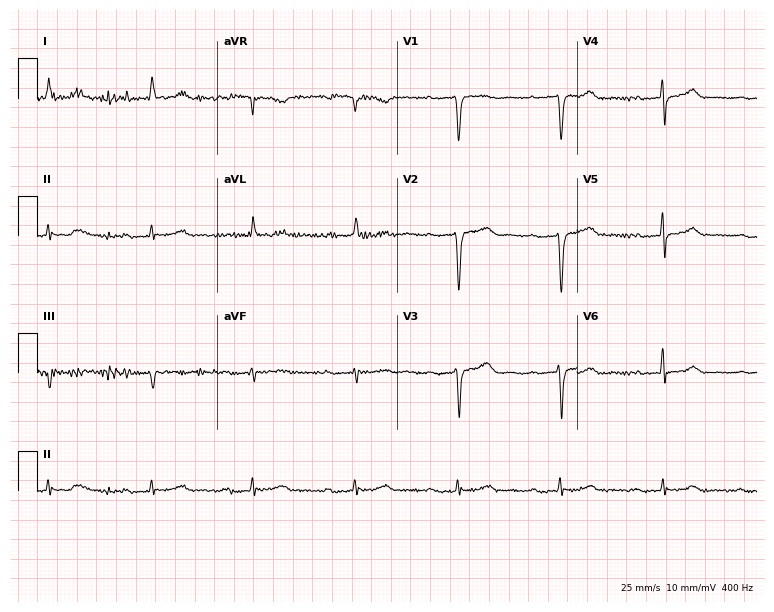
ECG (7.3-second recording at 400 Hz) — a female patient, 70 years old. Screened for six findings — first-degree AV block, right bundle branch block (RBBB), left bundle branch block (LBBB), sinus bradycardia, atrial fibrillation (AF), sinus tachycardia — none is recorded. Findings outside these six are not listed.